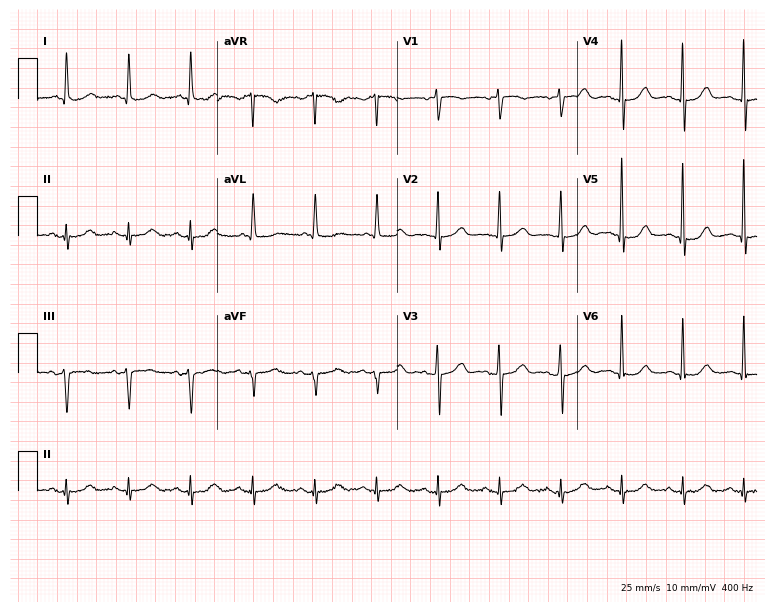
12-lead ECG from a woman, 82 years old. Labelled as a normal ECG.